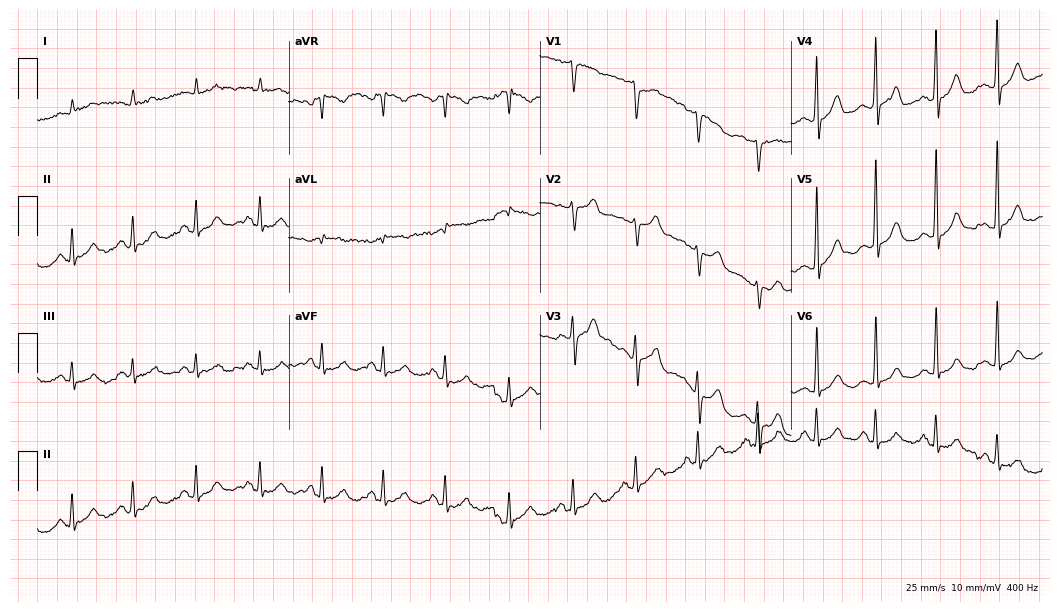
12-lead ECG (10.2-second recording at 400 Hz) from a 67-year-old male. Screened for six findings — first-degree AV block, right bundle branch block, left bundle branch block, sinus bradycardia, atrial fibrillation, sinus tachycardia — none is recorded. Findings outside these six are not listed.